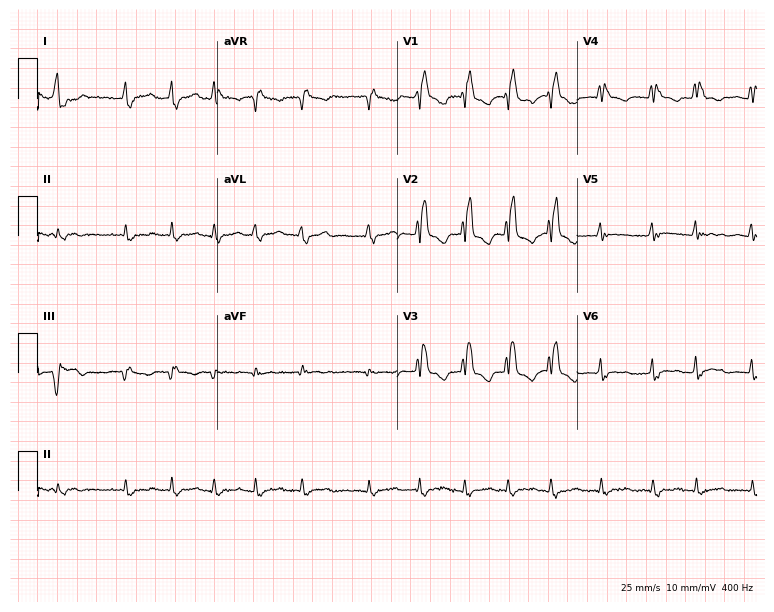
12-lead ECG (7.3-second recording at 400 Hz) from a 57-year-old female. Findings include right bundle branch block, atrial fibrillation.